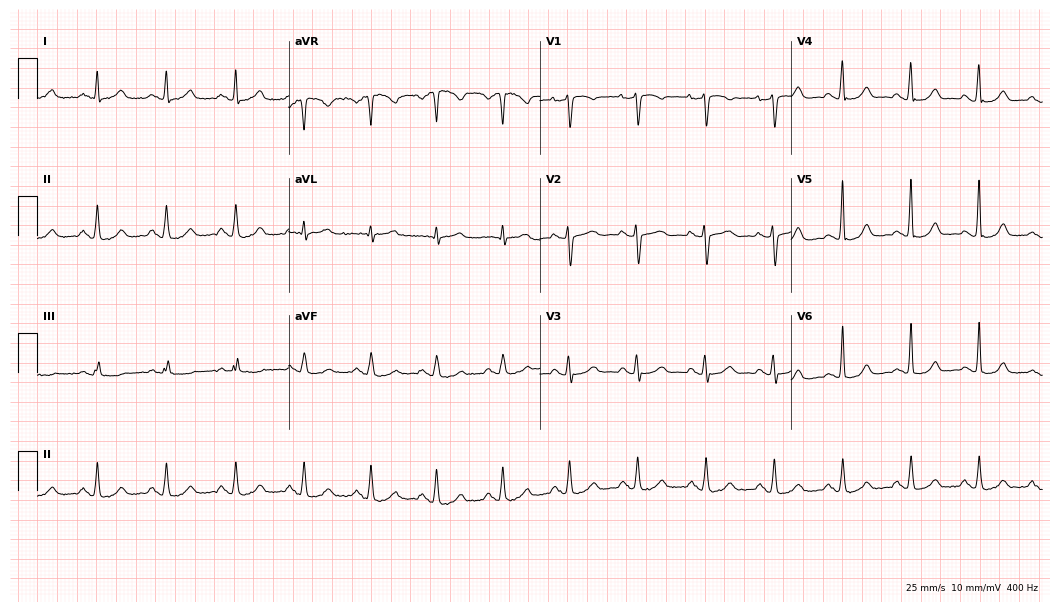
ECG — a 48-year-old woman. Labelled as a normal ECG.